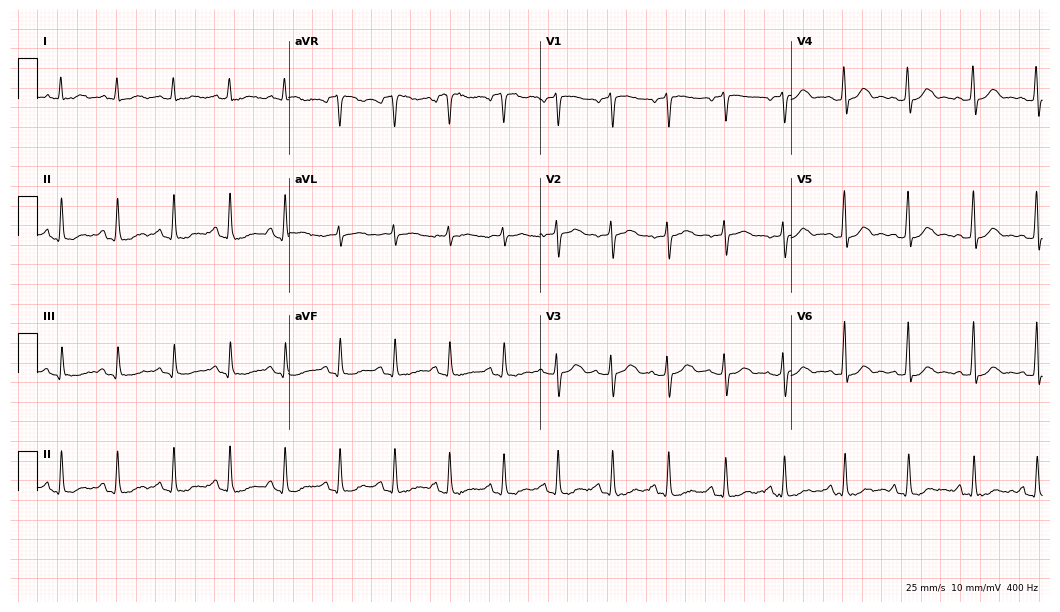
ECG — a 46-year-old woman. Labelled as a normal ECG.